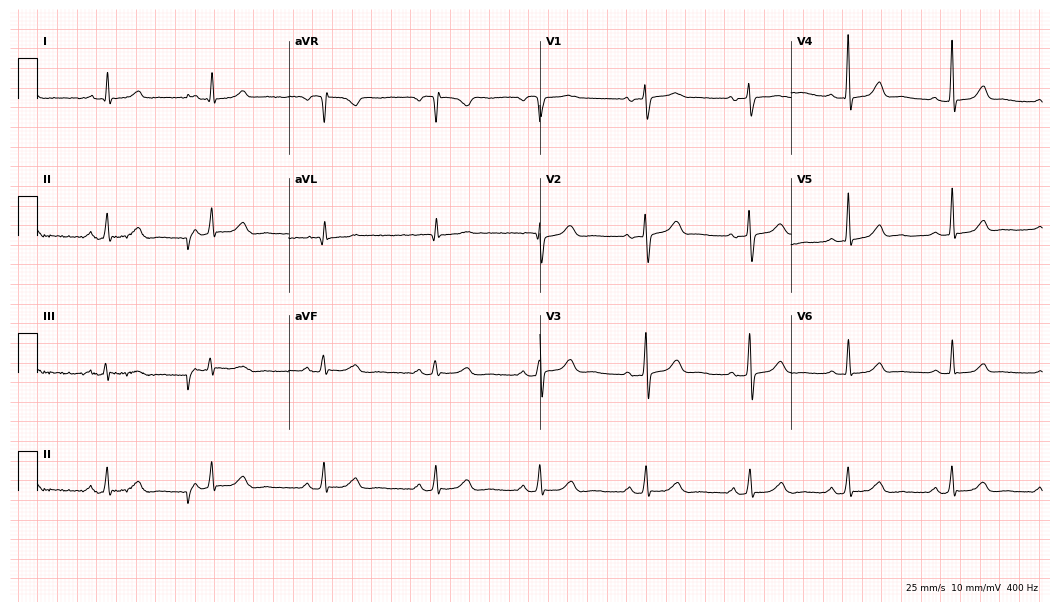
Resting 12-lead electrocardiogram (10.2-second recording at 400 Hz). Patient: a 68-year-old female. Read as a normal ECG.